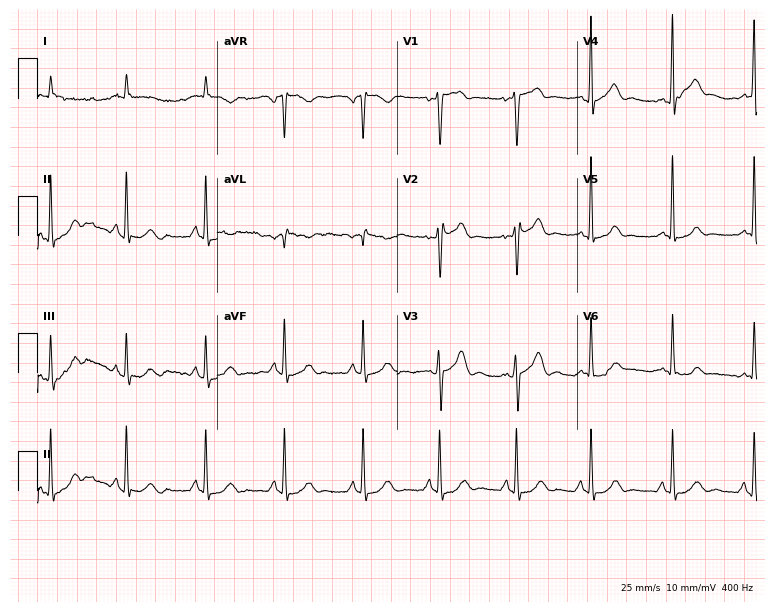
12-lead ECG from a man, 59 years old. Labelled as a normal ECG.